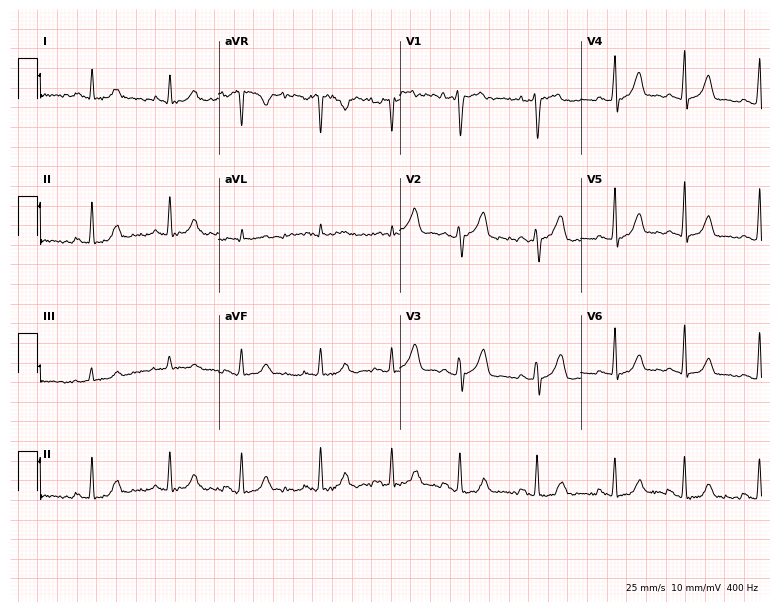
ECG (7.4-second recording at 400 Hz) — a 40-year-old female. Labelled as a normal ECG.